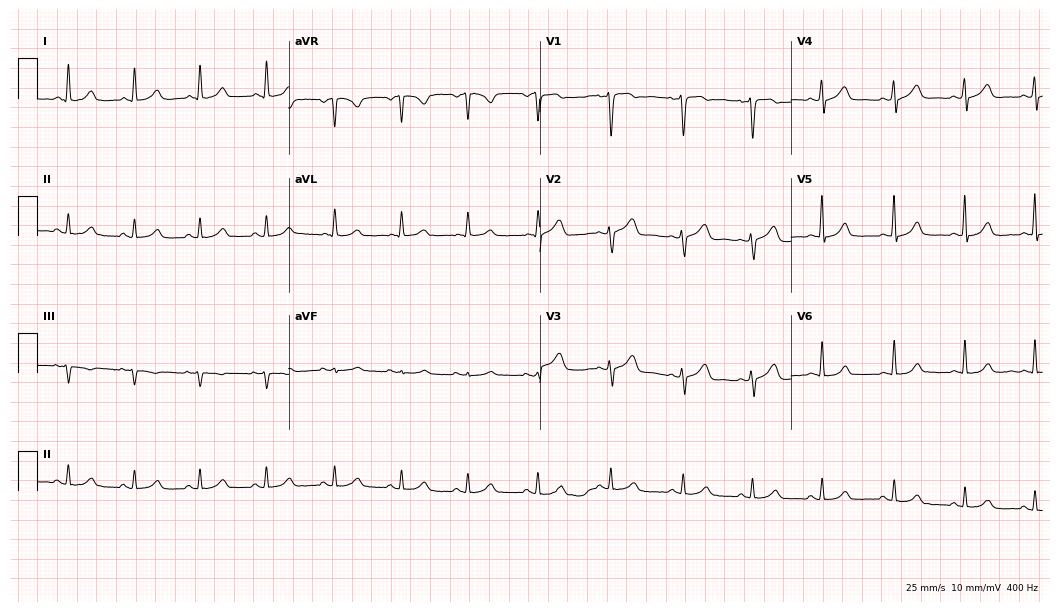
12-lead ECG from a female patient, 52 years old. No first-degree AV block, right bundle branch block (RBBB), left bundle branch block (LBBB), sinus bradycardia, atrial fibrillation (AF) or sinus tachycardia recorded for this tracing. Findings outside these six are not listed.